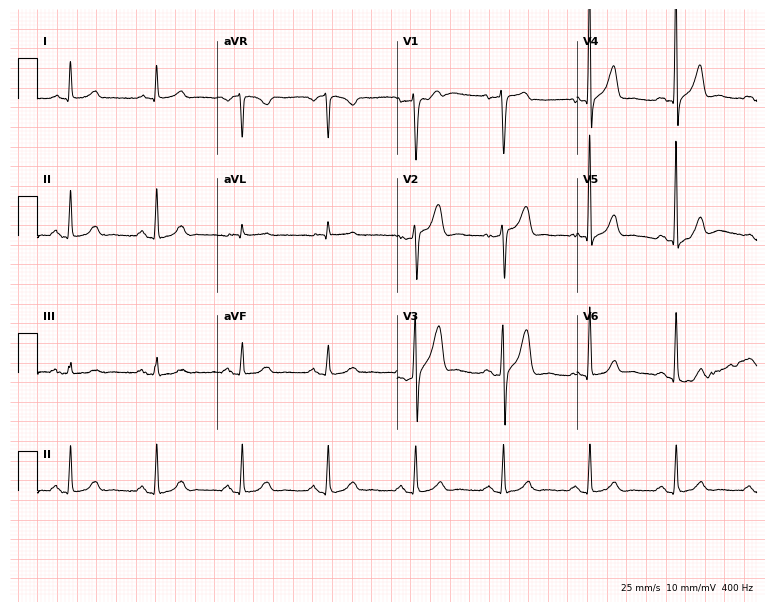
Electrocardiogram, a 67-year-old male patient. Overall reading on record: normal ECG.